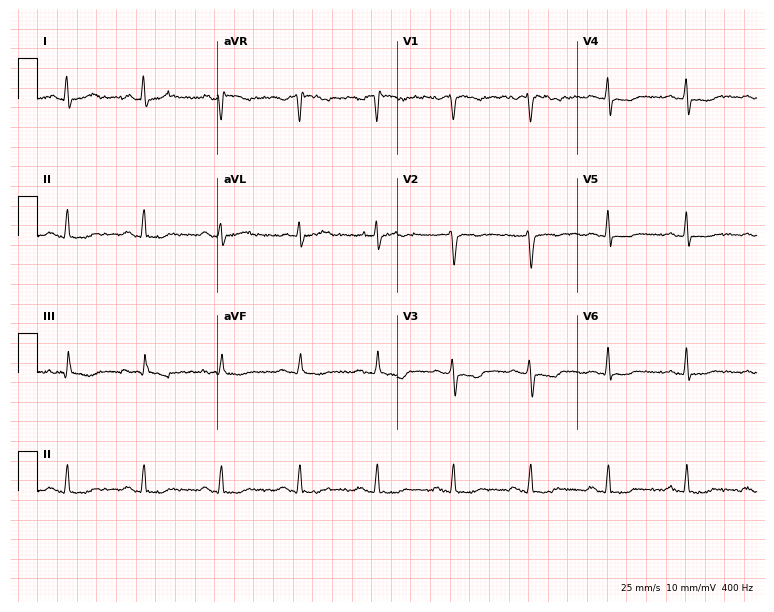
Resting 12-lead electrocardiogram. Patient: a 48-year-old female. None of these six findings is recorded: first-degree AV block, right bundle branch block, left bundle branch block, sinus bradycardia, atrial fibrillation, sinus tachycardia.